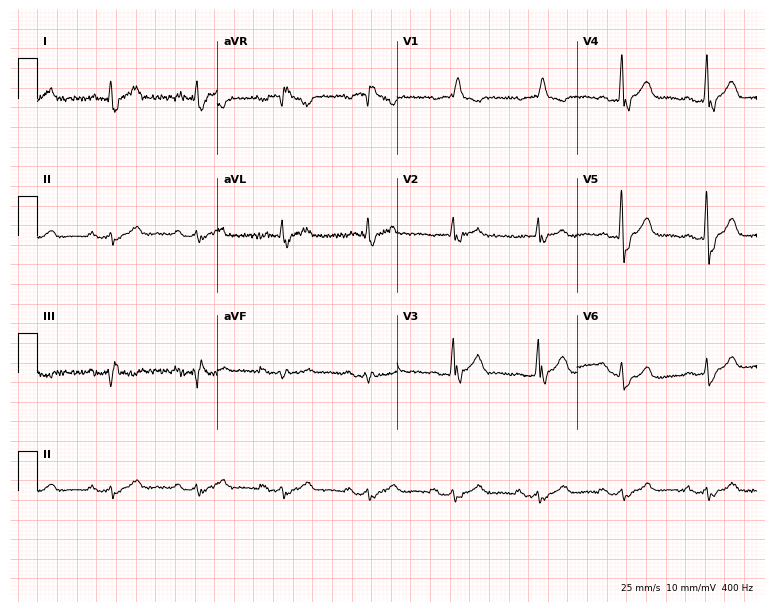
ECG (7.3-second recording at 400 Hz) — a 73-year-old man. Findings include first-degree AV block, right bundle branch block (RBBB).